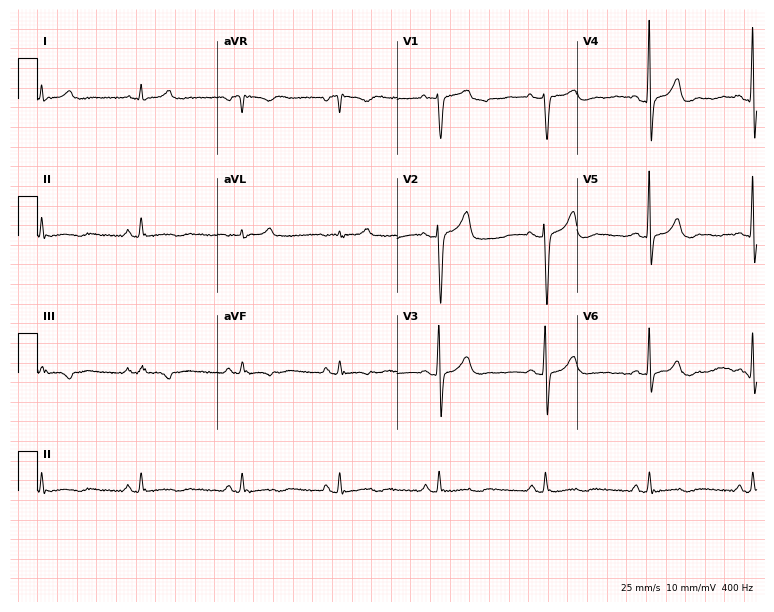
ECG — a 43-year-old female. Screened for six findings — first-degree AV block, right bundle branch block, left bundle branch block, sinus bradycardia, atrial fibrillation, sinus tachycardia — none is recorded. Only these six findings were labelled.